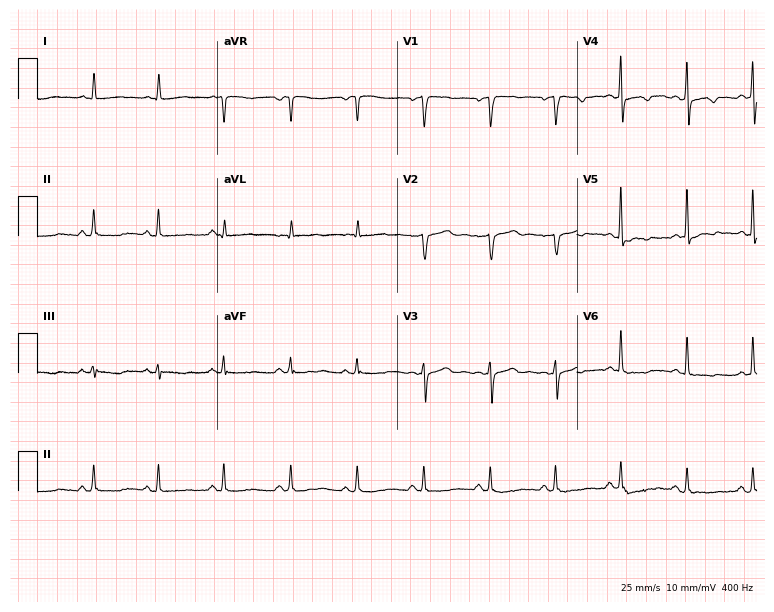
Resting 12-lead electrocardiogram. Patient: a female, 47 years old. None of these six findings is recorded: first-degree AV block, right bundle branch block, left bundle branch block, sinus bradycardia, atrial fibrillation, sinus tachycardia. Findings outside these six are not listed.